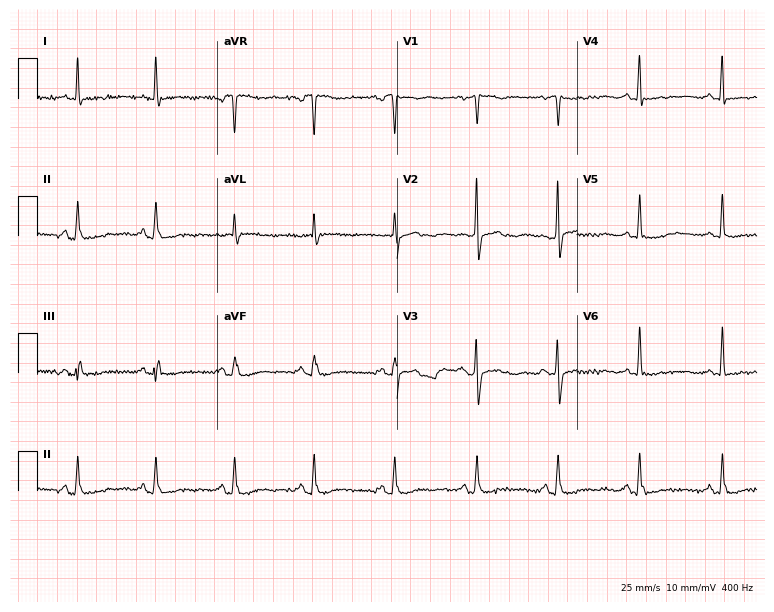
Standard 12-lead ECG recorded from a 70-year-old woman. None of these six findings is recorded: first-degree AV block, right bundle branch block (RBBB), left bundle branch block (LBBB), sinus bradycardia, atrial fibrillation (AF), sinus tachycardia.